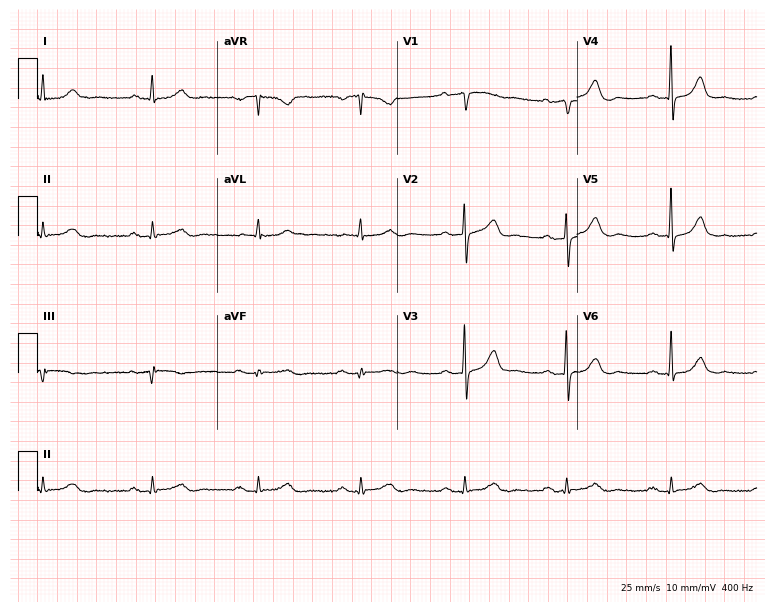
Standard 12-lead ECG recorded from a female patient, 63 years old. Read as a normal ECG.